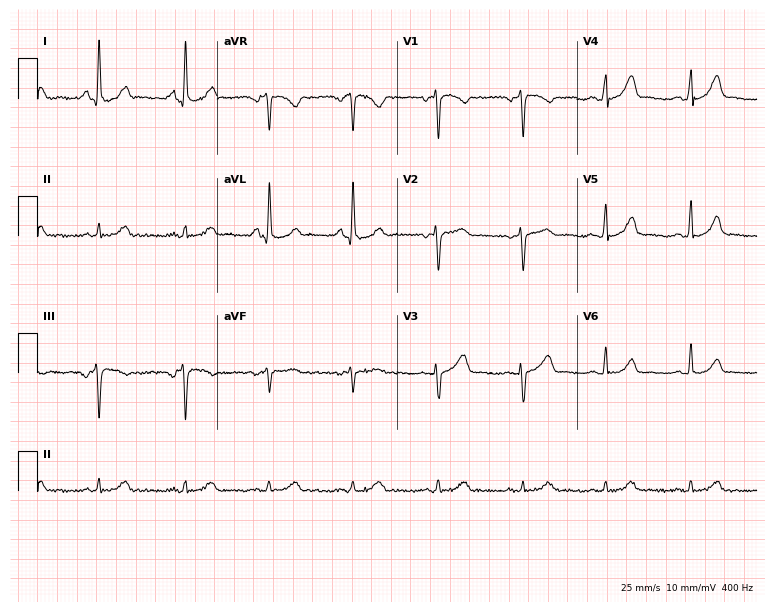
Resting 12-lead electrocardiogram. Patient: a female, 38 years old. Read as a normal ECG.